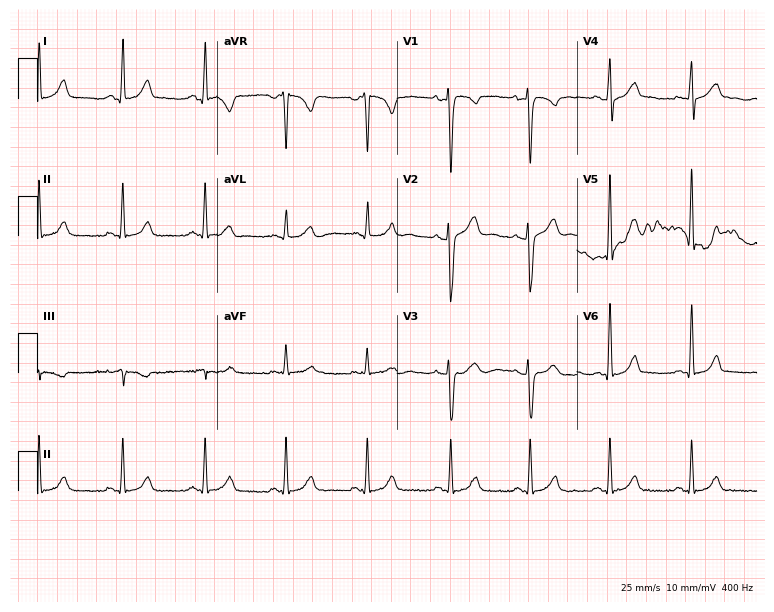
Resting 12-lead electrocardiogram. Patient: a 44-year-old female. Read as a normal ECG.